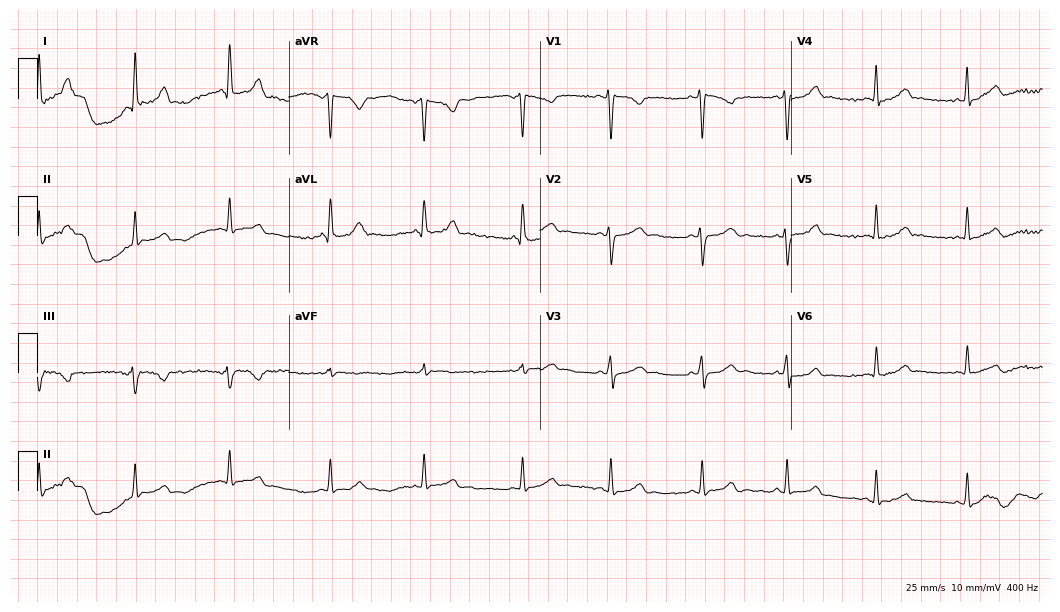
Standard 12-lead ECG recorded from a female patient, 30 years old (10.2-second recording at 400 Hz). Read as a normal ECG.